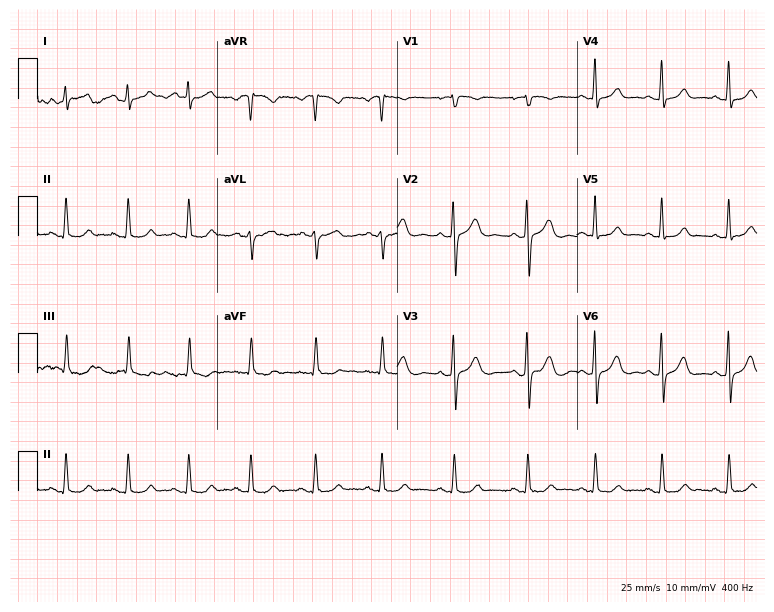
12-lead ECG (7.3-second recording at 400 Hz) from a female patient, 25 years old. Screened for six findings — first-degree AV block, right bundle branch block, left bundle branch block, sinus bradycardia, atrial fibrillation, sinus tachycardia — none is recorded.